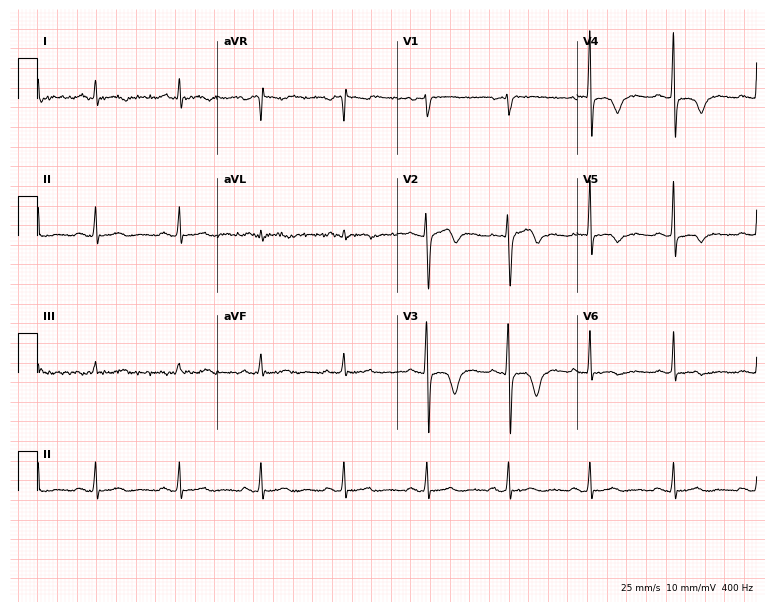
ECG — a 60-year-old man. Screened for six findings — first-degree AV block, right bundle branch block, left bundle branch block, sinus bradycardia, atrial fibrillation, sinus tachycardia — none is recorded. Other findings, if any, are not listed.